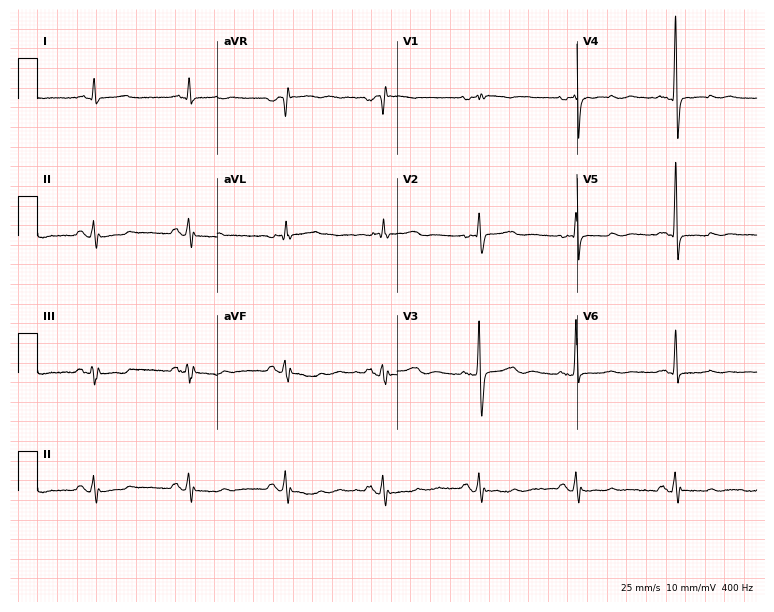
Standard 12-lead ECG recorded from a male patient, 71 years old. None of these six findings is recorded: first-degree AV block, right bundle branch block, left bundle branch block, sinus bradycardia, atrial fibrillation, sinus tachycardia. Findings outside these six are not listed.